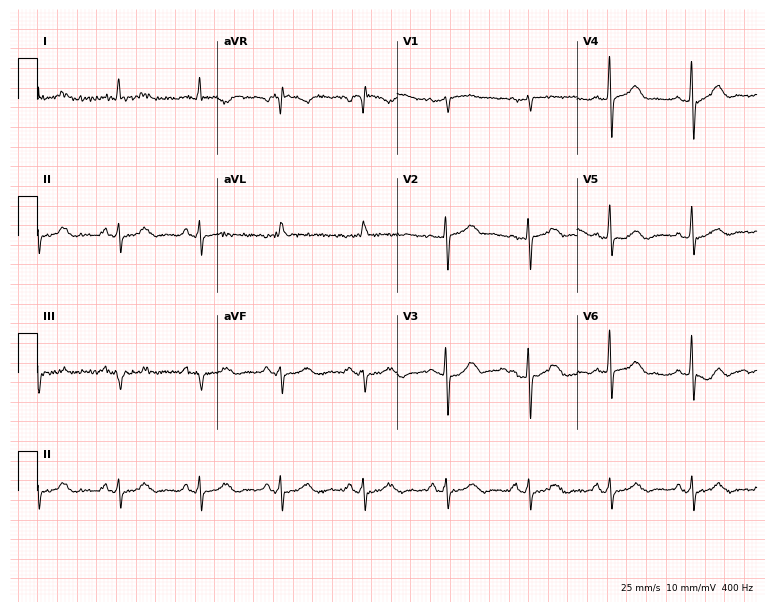
12-lead ECG (7.3-second recording at 400 Hz) from a female patient, 66 years old. Labelled as a normal ECG.